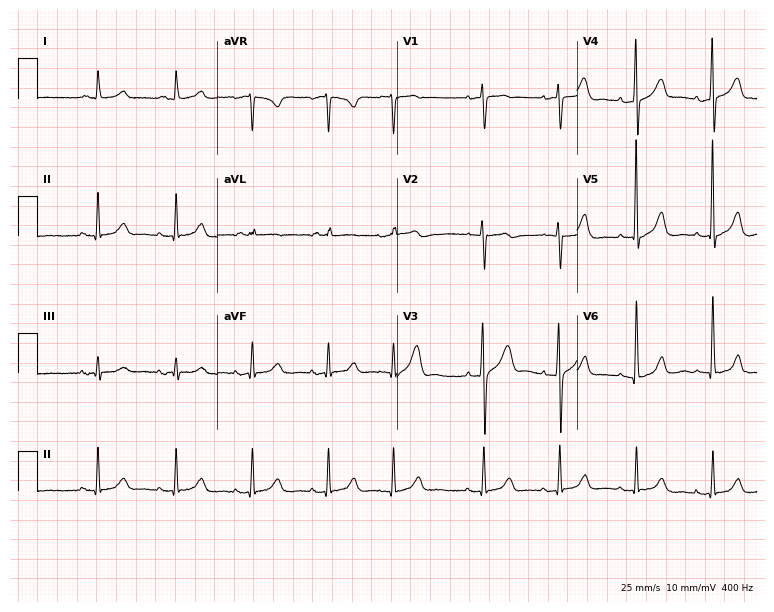
12-lead ECG (7.3-second recording at 400 Hz) from a woman, 77 years old. Labelled as a normal ECG.